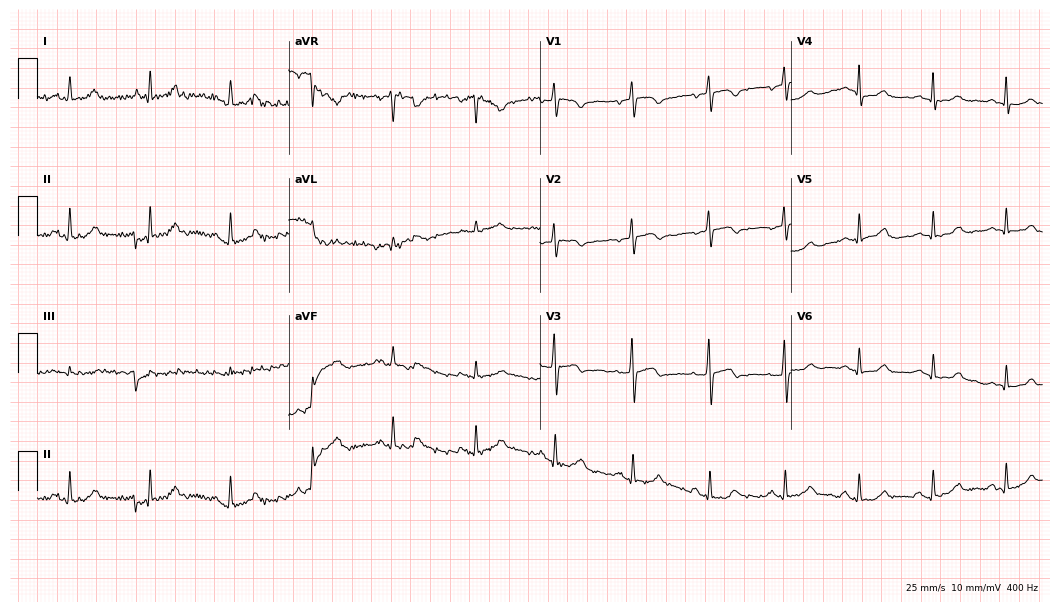
ECG (10.2-second recording at 400 Hz) — a female, 71 years old. Screened for six findings — first-degree AV block, right bundle branch block (RBBB), left bundle branch block (LBBB), sinus bradycardia, atrial fibrillation (AF), sinus tachycardia — none is recorded.